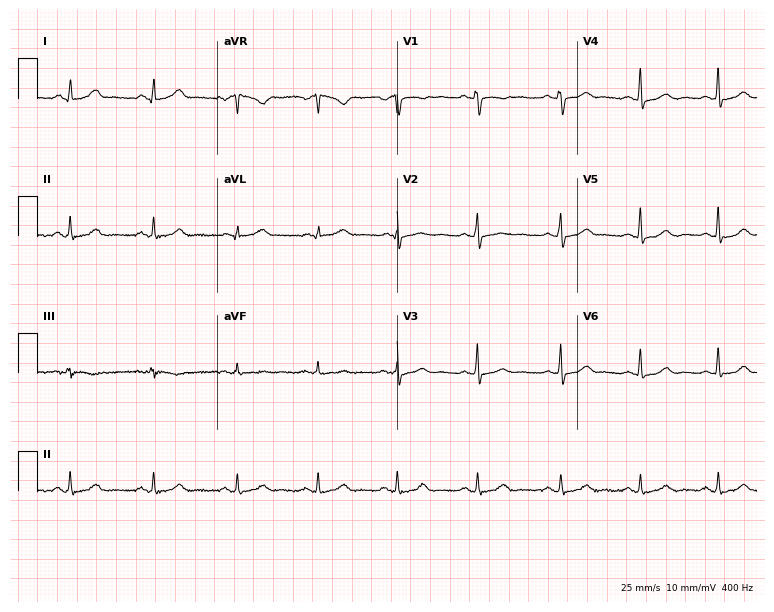
12-lead ECG from a 30-year-old female (7.3-second recording at 400 Hz). Recorded interpretation: within normal limits.